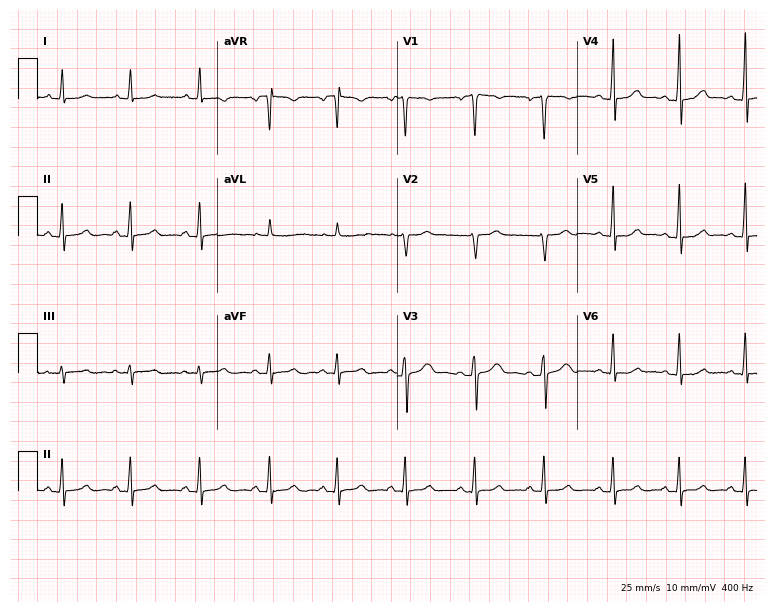
Resting 12-lead electrocardiogram. Patient: a 20-year-old woman. None of these six findings is recorded: first-degree AV block, right bundle branch block, left bundle branch block, sinus bradycardia, atrial fibrillation, sinus tachycardia. Only these six findings were labelled.